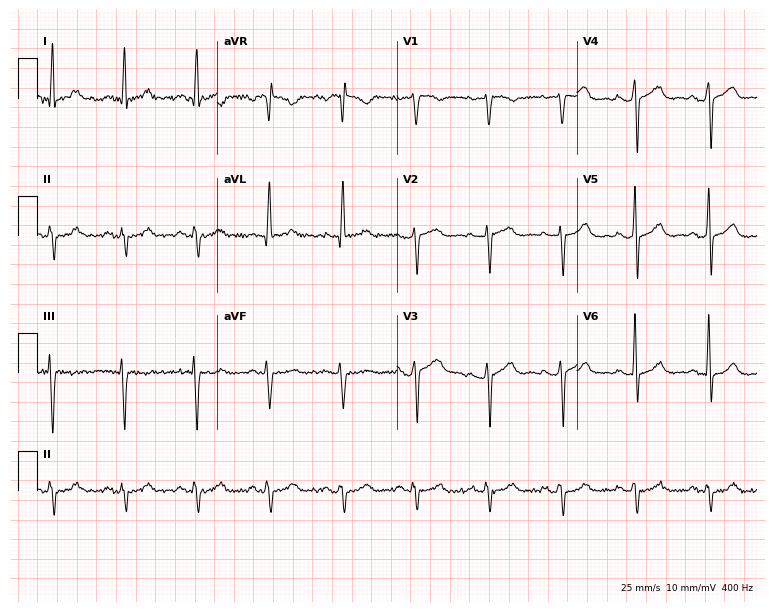
12-lead ECG from a man, 47 years old. No first-degree AV block, right bundle branch block, left bundle branch block, sinus bradycardia, atrial fibrillation or sinus tachycardia recorded for this tracing. Findings outside these six are not listed.